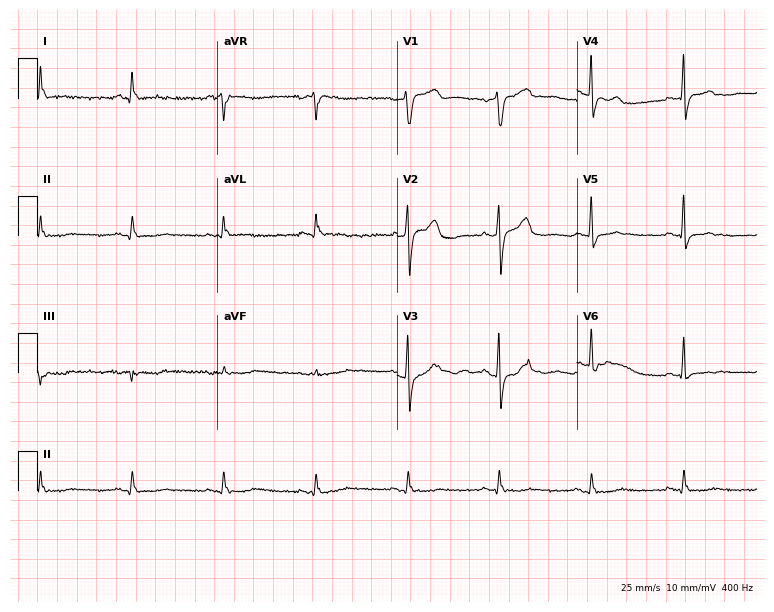
Resting 12-lead electrocardiogram. Patient: an 83-year-old male. None of these six findings is recorded: first-degree AV block, right bundle branch block, left bundle branch block, sinus bradycardia, atrial fibrillation, sinus tachycardia. Other findings, if any, are not listed.